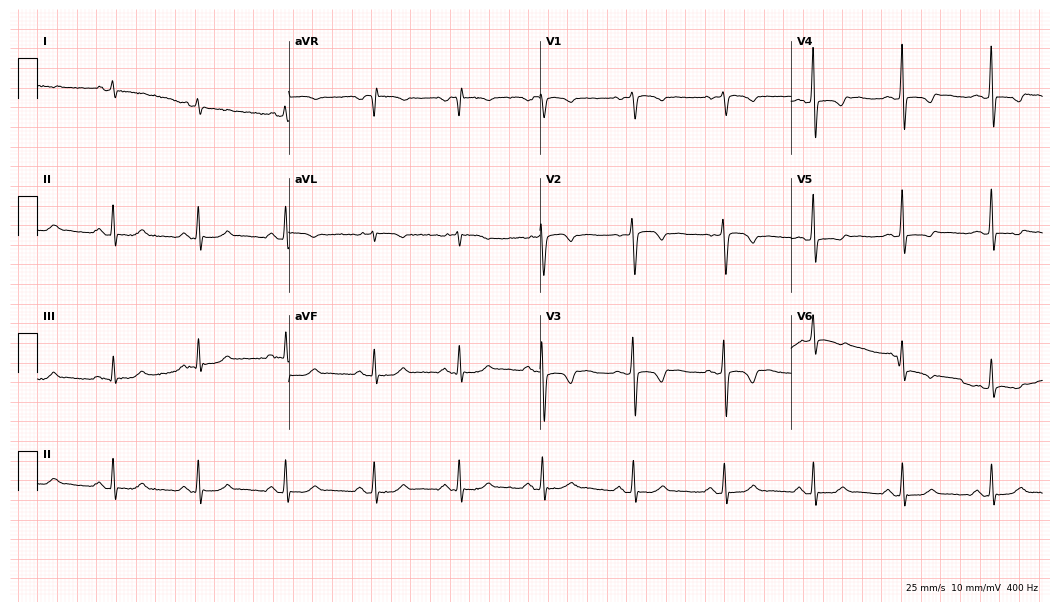
ECG — a 76-year-old female. Screened for six findings — first-degree AV block, right bundle branch block, left bundle branch block, sinus bradycardia, atrial fibrillation, sinus tachycardia — none is recorded. Other findings, if any, are not listed.